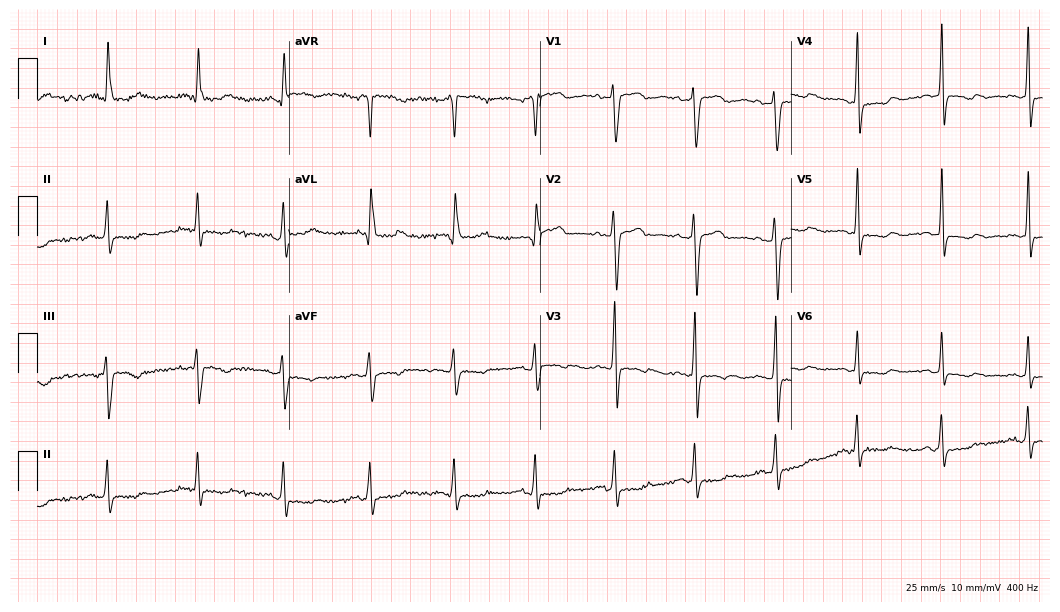
Electrocardiogram (10.2-second recording at 400 Hz), a female patient, 58 years old. Of the six screened findings (first-degree AV block, right bundle branch block (RBBB), left bundle branch block (LBBB), sinus bradycardia, atrial fibrillation (AF), sinus tachycardia), none is recorded.